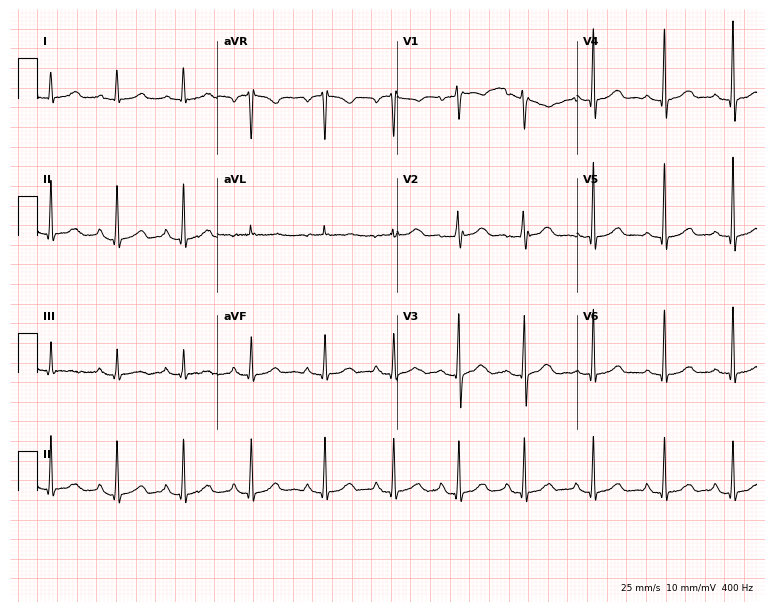
12-lead ECG from a female, 45 years old. Recorded interpretation: within normal limits.